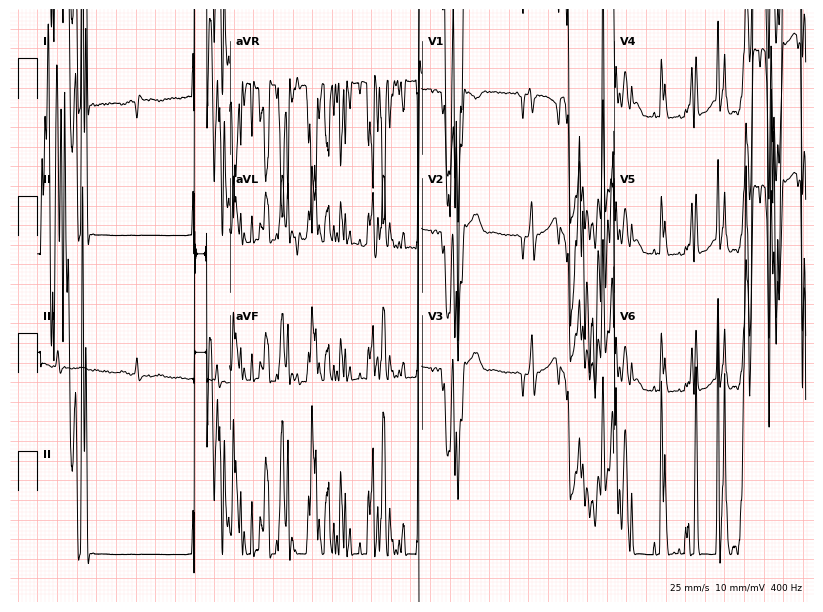
Resting 12-lead electrocardiogram (7.8-second recording at 400 Hz). Patient: a 24-year-old female. None of these six findings is recorded: first-degree AV block, right bundle branch block, left bundle branch block, sinus bradycardia, atrial fibrillation, sinus tachycardia. Only these six findings were labelled.